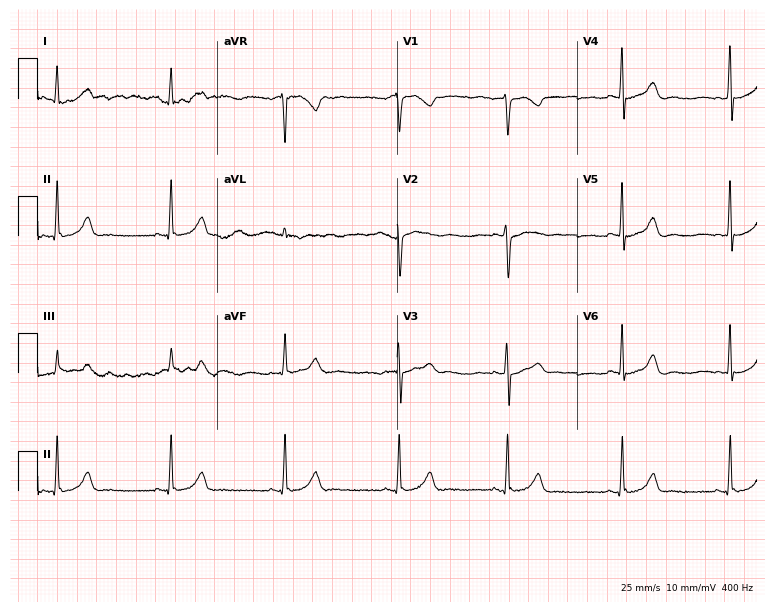
Standard 12-lead ECG recorded from a female patient, 28 years old. None of these six findings is recorded: first-degree AV block, right bundle branch block (RBBB), left bundle branch block (LBBB), sinus bradycardia, atrial fibrillation (AF), sinus tachycardia. Findings outside these six are not listed.